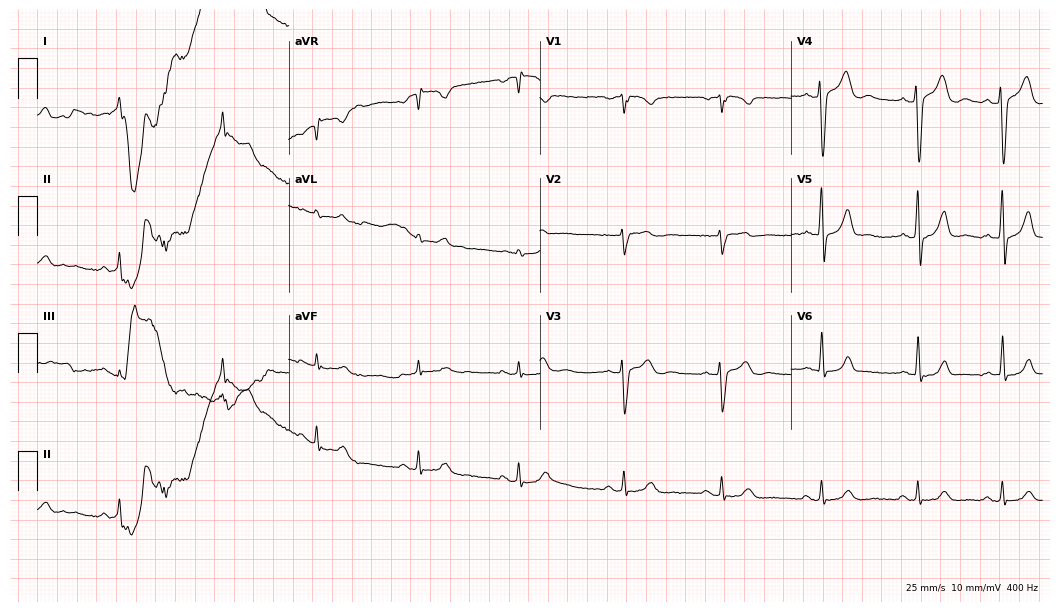
12-lead ECG from a male patient, 29 years old (10.2-second recording at 400 Hz). Recorded interpretation: within normal limits.